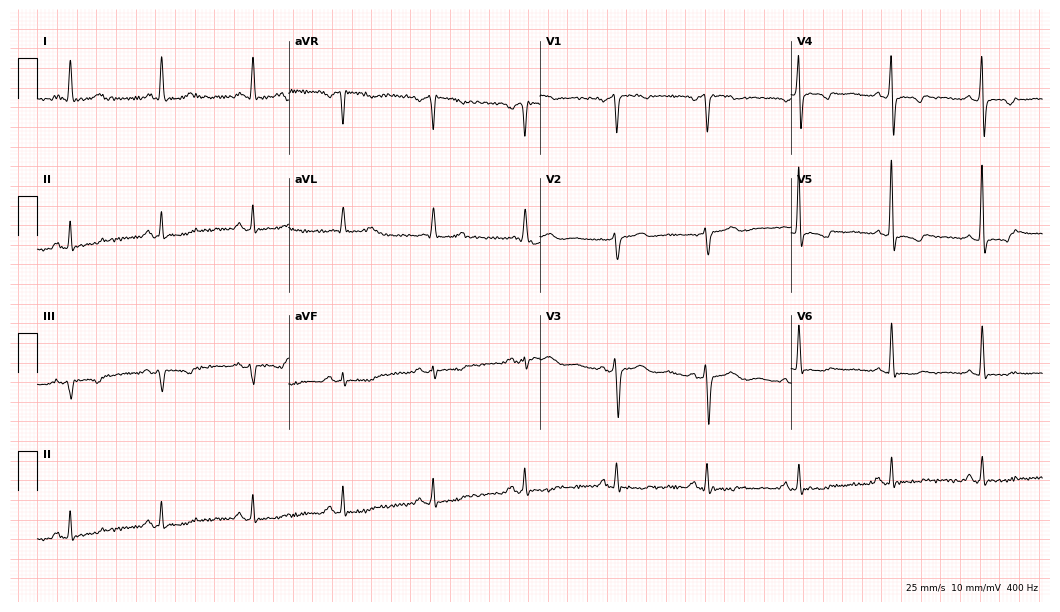
Resting 12-lead electrocardiogram (10.2-second recording at 400 Hz). Patient: a female, 52 years old. None of these six findings is recorded: first-degree AV block, right bundle branch block, left bundle branch block, sinus bradycardia, atrial fibrillation, sinus tachycardia. Other findings, if any, are not listed.